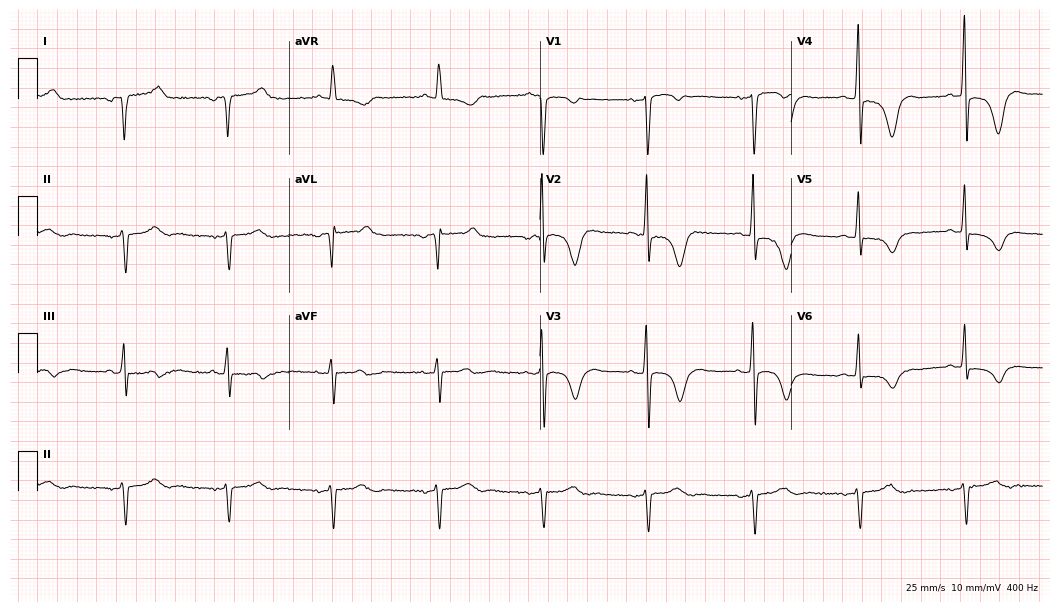
Standard 12-lead ECG recorded from a female patient, 77 years old. None of these six findings is recorded: first-degree AV block, right bundle branch block, left bundle branch block, sinus bradycardia, atrial fibrillation, sinus tachycardia.